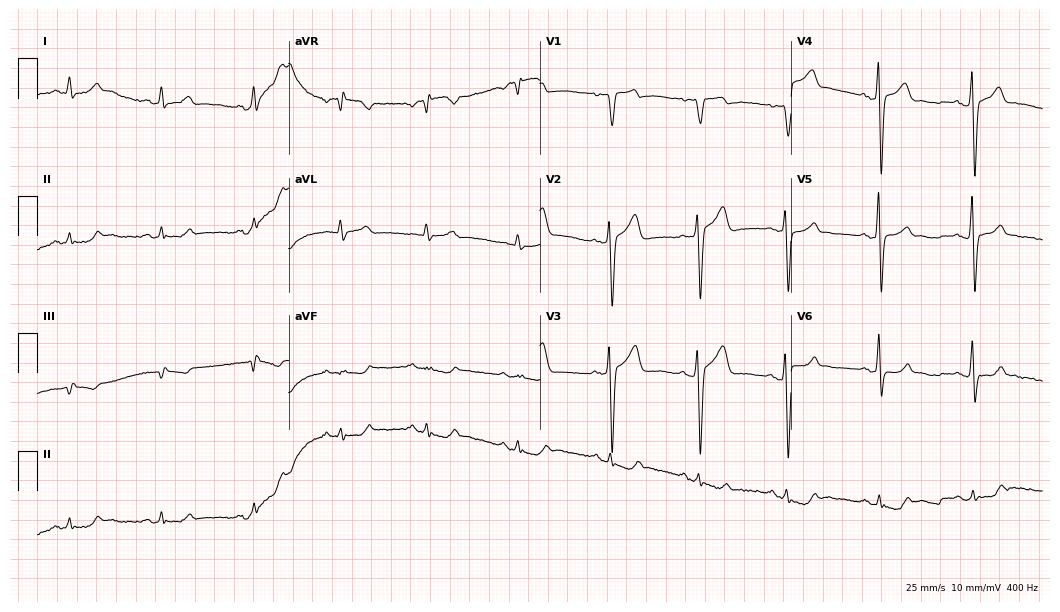
12-lead ECG from a 48-year-old male. Labelled as a normal ECG.